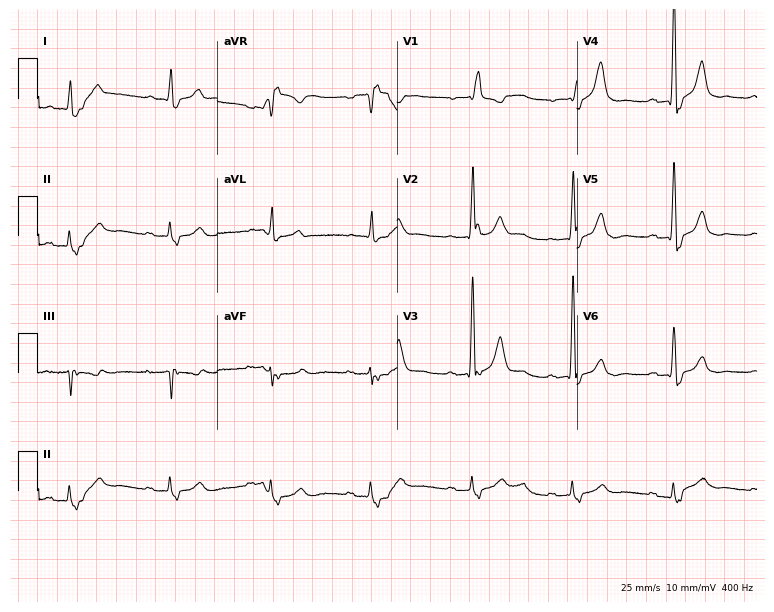
Electrocardiogram (7.3-second recording at 400 Hz), a male, 80 years old. Interpretation includes first-degree AV block, right bundle branch block.